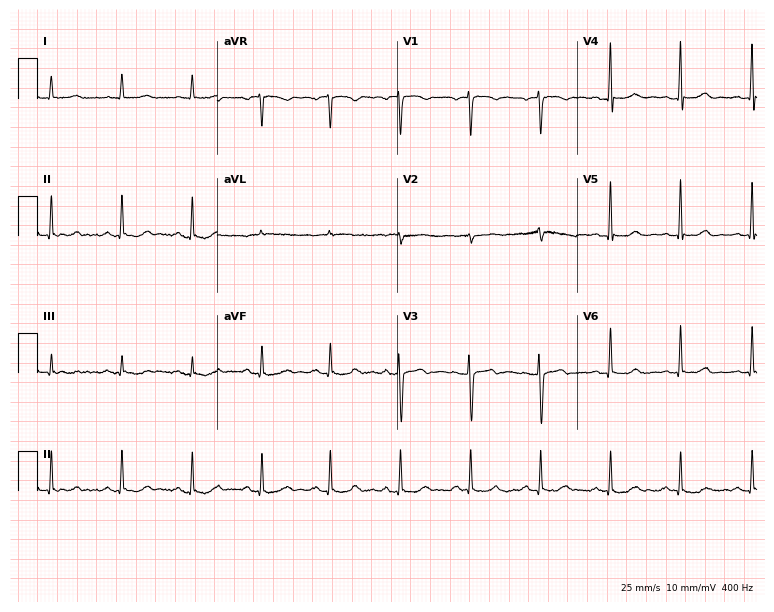
12-lead ECG from a female patient, 43 years old. Labelled as a normal ECG.